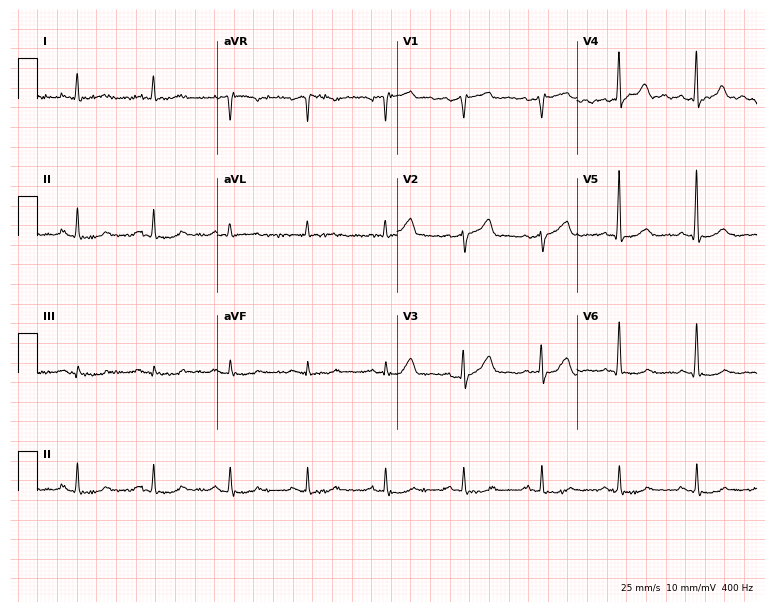
Resting 12-lead electrocardiogram. Patient: a male, 64 years old. None of these six findings is recorded: first-degree AV block, right bundle branch block, left bundle branch block, sinus bradycardia, atrial fibrillation, sinus tachycardia.